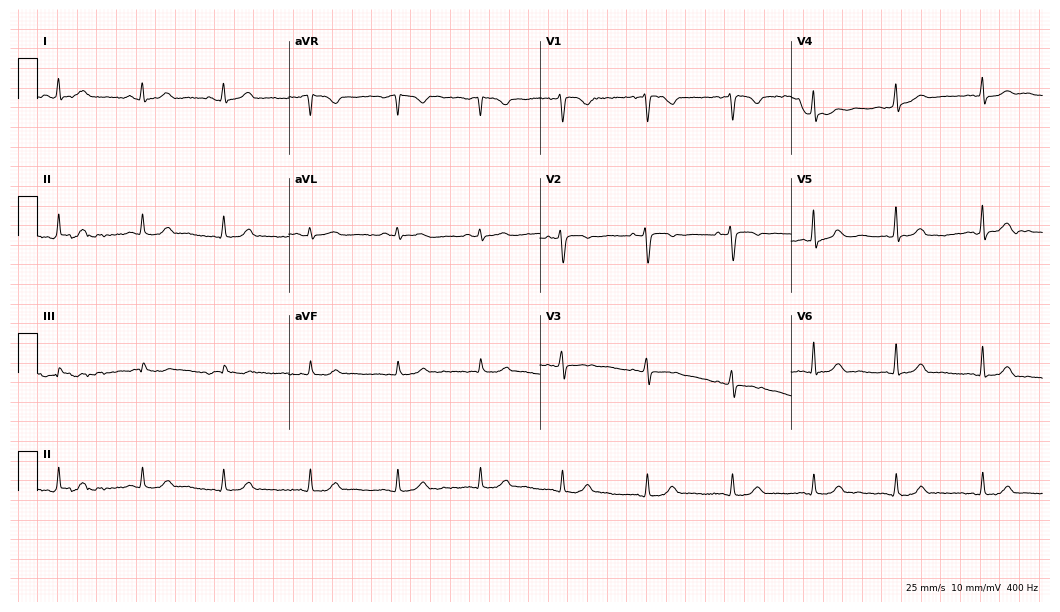
Electrocardiogram (10.2-second recording at 400 Hz), a 43-year-old female. Of the six screened findings (first-degree AV block, right bundle branch block, left bundle branch block, sinus bradycardia, atrial fibrillation, sinus tachycardia), none is recorded. Only these six findings were labelled.